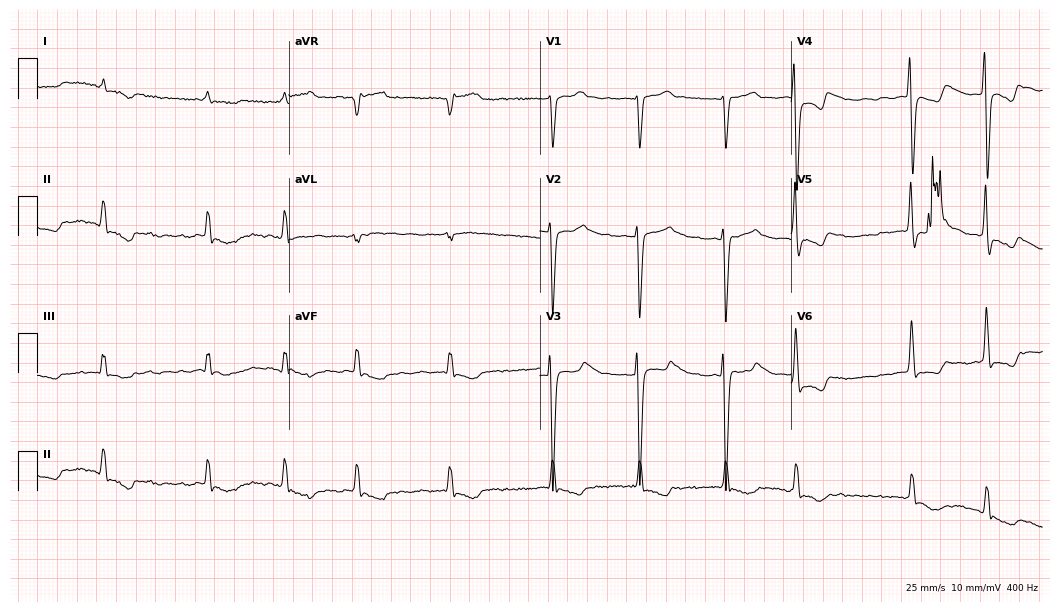
Electrocardiogram, a 78-year-old male patient. Of the six screened findings (first-degree AV block, right bundle branch block, left bundle branch block, sinus bradycardia, atrial fibrillation, sinus tachycardia), none is recorded. Only these six findings were labelled.